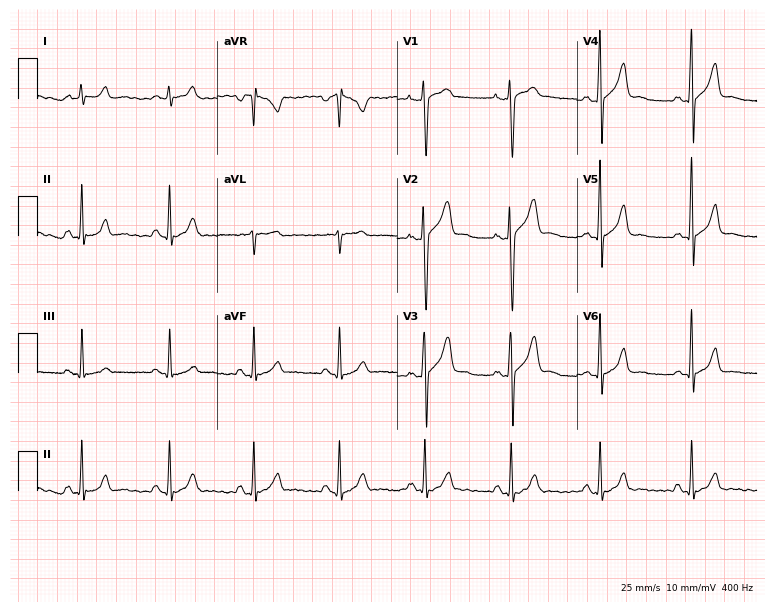
12-lead ECG from a man, 29 years old. Recorded interpretation: within normal limits.